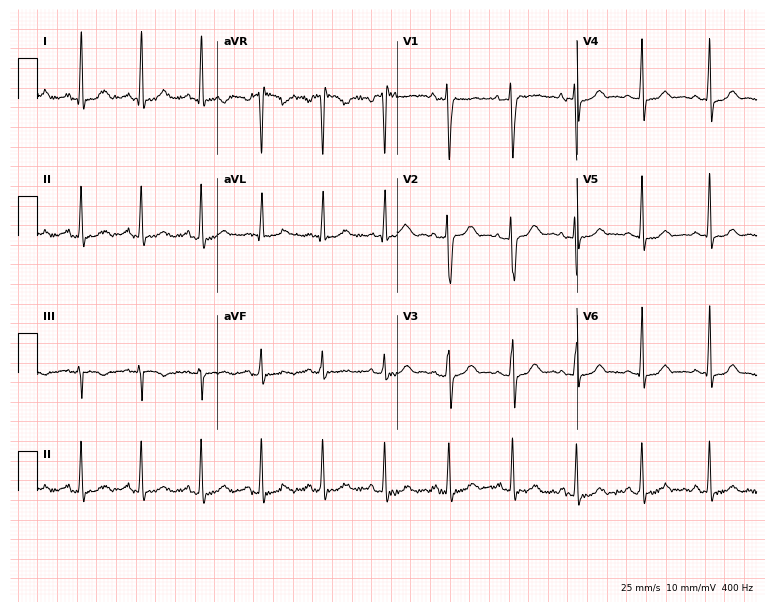
12-lead ECG from a 40-year-old female patient. No first-degree AV block, right bundle branch block, left bundle branch block, sinus bradycardia, atrial fibrillation or sinus tachycardia recorded for this tracing.